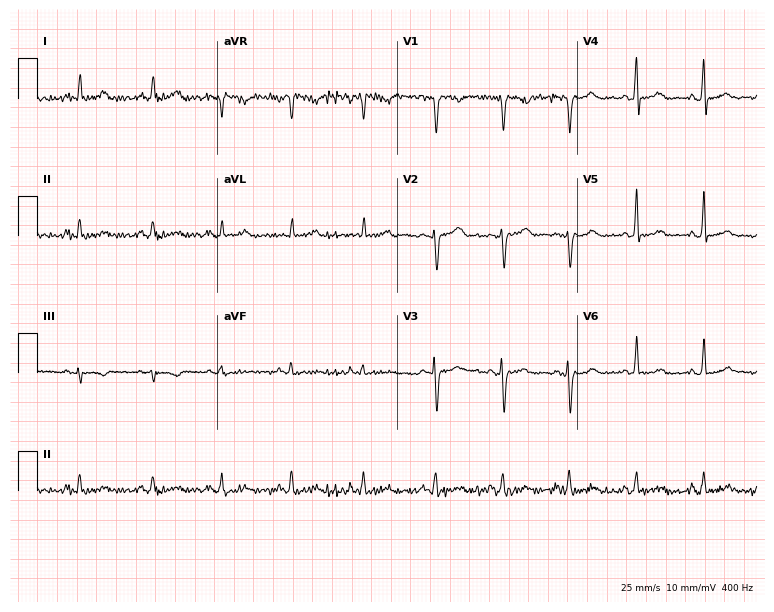
12-lead ECG from a female patient, 37 years old. Labelled as a normal ECG.